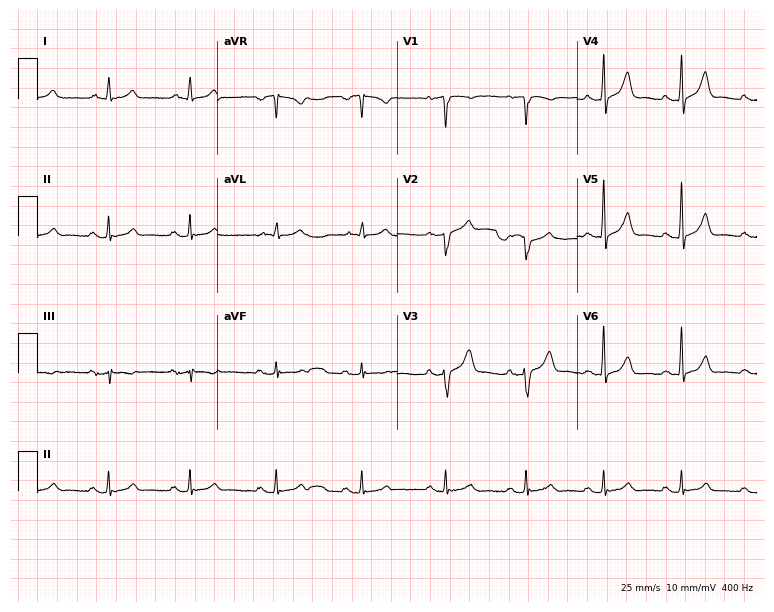
12-lead ECG (7.3-second recording at 400 Hz) from a male, 56 years old. Labelled as a normal ECG.